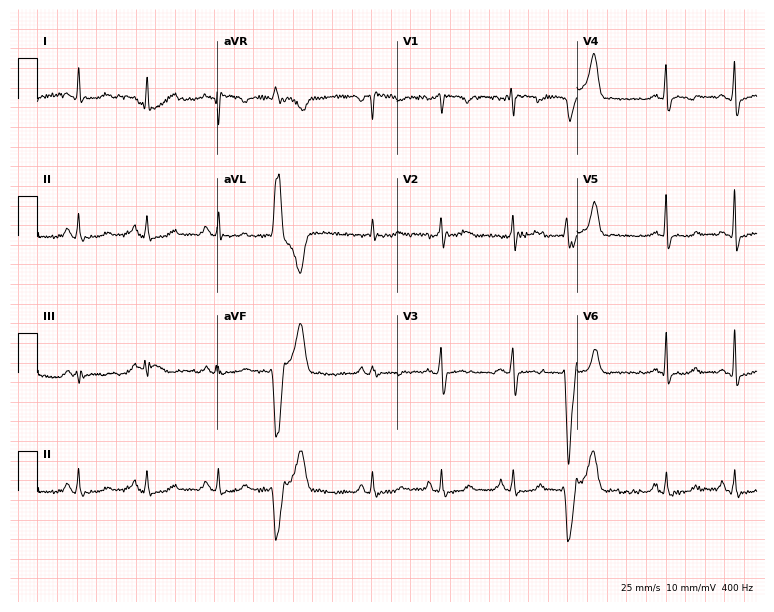
Resting 12-lead electrocardiogram (7.3-second recording at 400 Hz). Patient: a woman, 48 years old. None of these six findings is recorded: first-degree AV block, right bundle branch block, left bundle branch block, sinus bradycardia, atrial fibrillation, sinus tachycardia. Only these six findings were labelled.